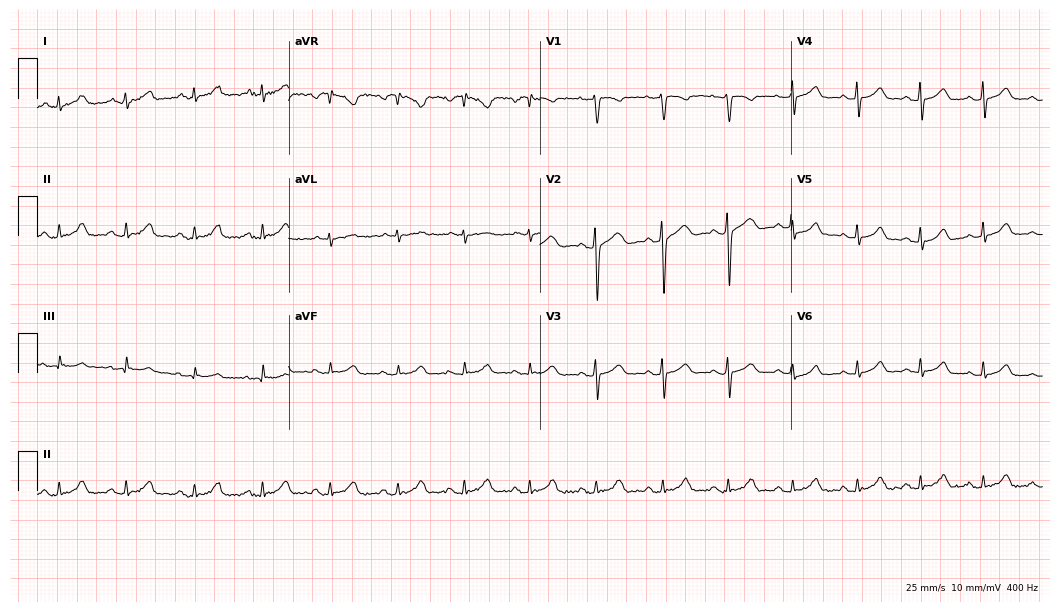
Resting 12-lead electrocardiogram. Patient: a female, 30 years old. None of these six findings is recorded: first-degree AV block, right bundle branch block, left bundle branch block, sinus bradycardia, atrial fibrillation, sinus tachycardia.